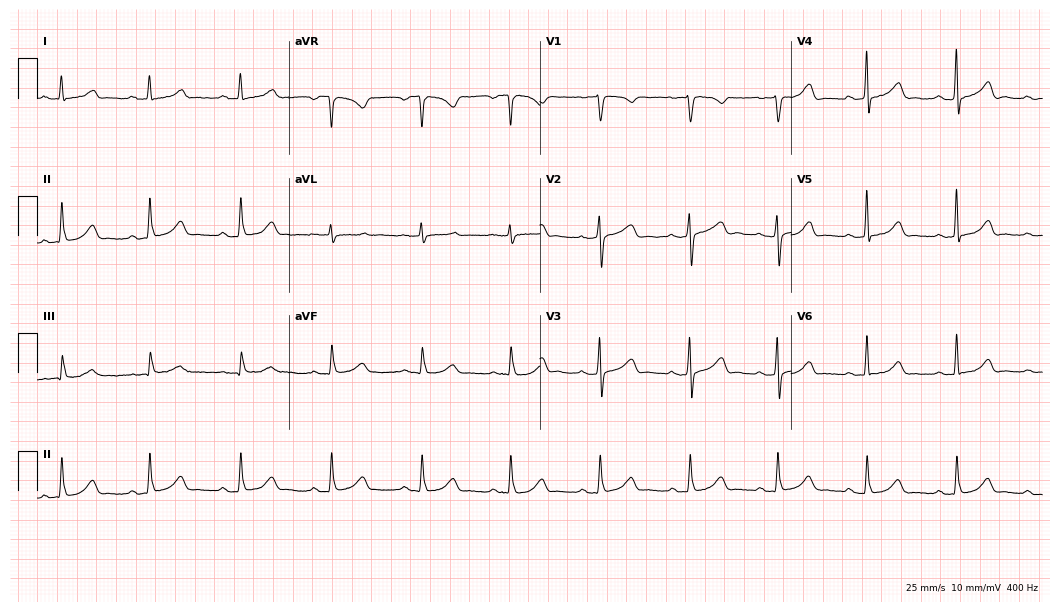
12-lead ECG (10.2-second recording at 400 Hz) from a 53-year-old female patient. Labelled as a normal ECG.